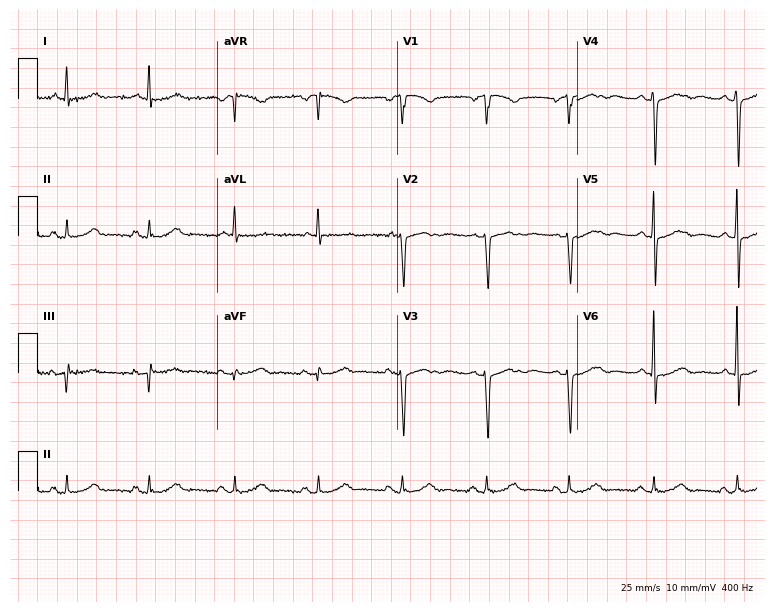
Electrocardiogram (7.3-second recording at 400 Hz), a female, 83 years old. Of the six screened findings (first-degree AV block, right bundle branch block, left bundle branch block, sinus bradycardia, atrial fibrillation, sinus tachycardia), none is recorded.